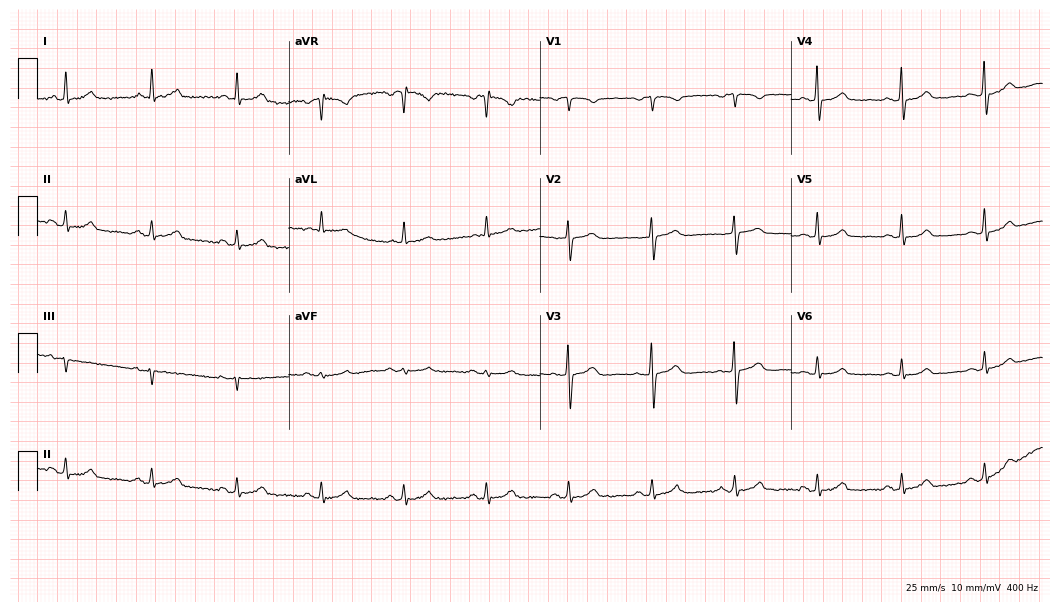
12-lead ECG from a 66-year-old female patient (10.2-second recording at 400 Hz). No first-degree AV block, right bundle branch block, left bundle branch block, sinus bradycardia, atrial fibrillation or sinus tachycardia recorded for this tracing.